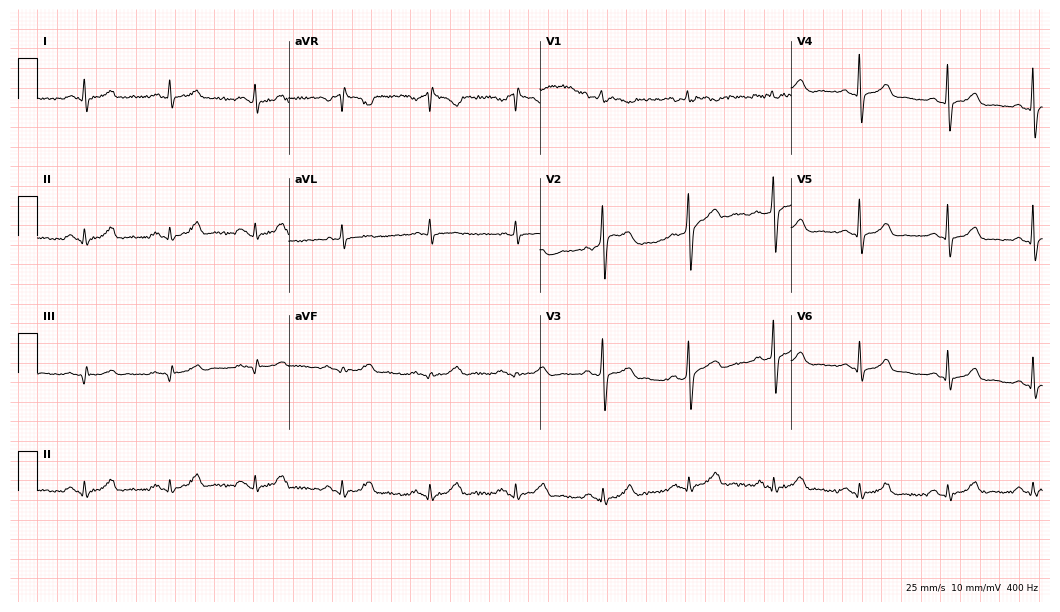
ECG (10.2-second recording at 400 Hz) — a 36-year-old male patient. Labelled as a normal ECG.